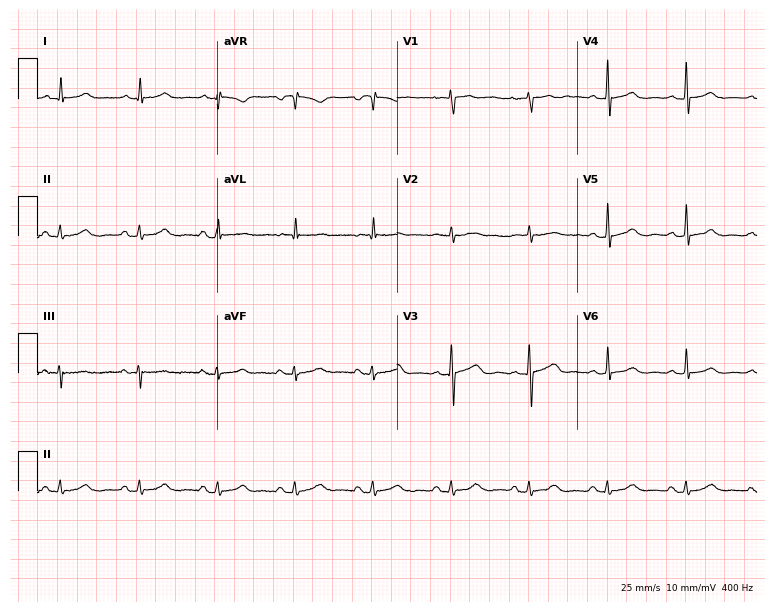
12-lead ECG (7.3-second recording at 400 Hz) from a female, 78 years old. Labelled as a normal ECG.